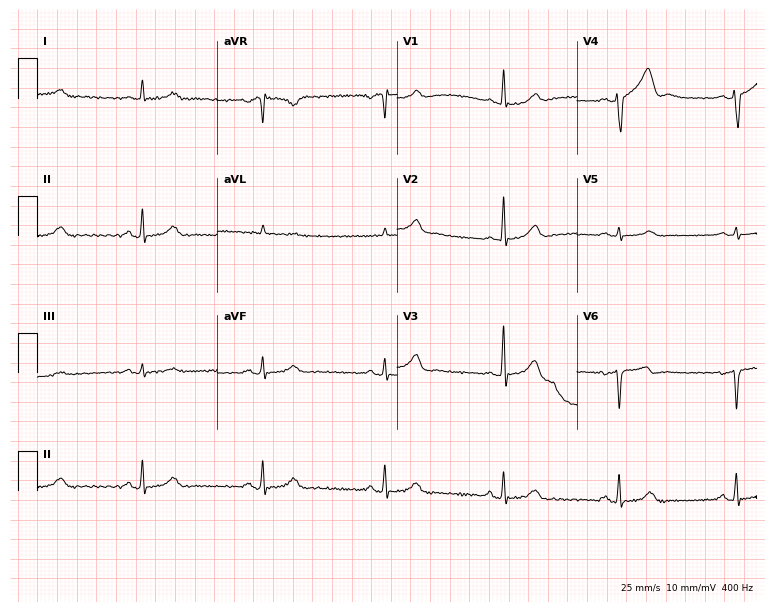
Electrocardiogram, a 59-year-old male patient. Of the six screened findings (first-degree AV block, right bundle branch block (RBBB), left bundle branch block (LBBB), sinus bradycardia, atrial fibrillation (AF), sinus tachycardia), none is recorded. Only these six findings were labelled.